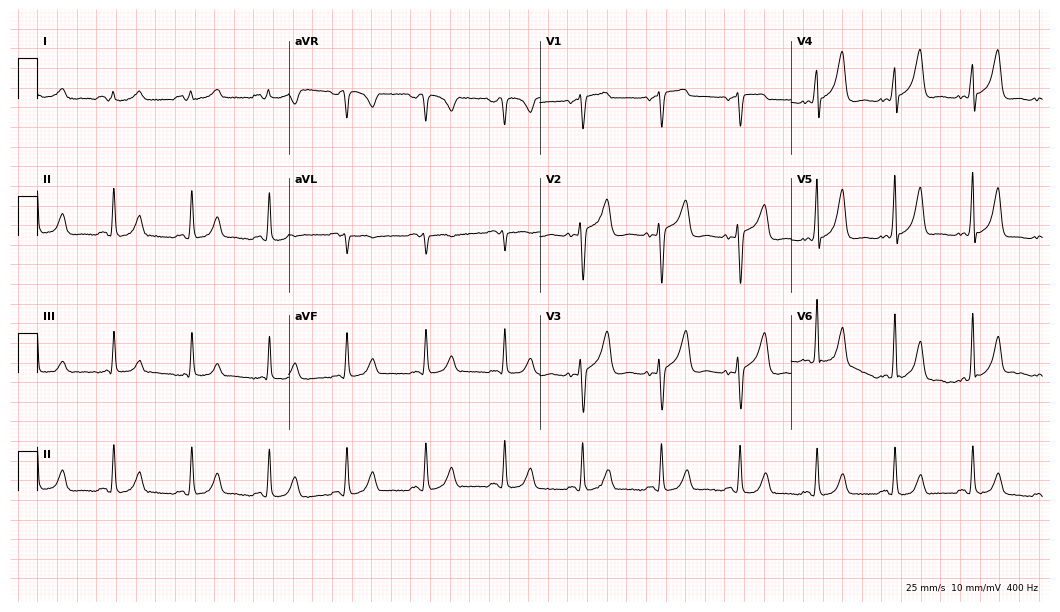
12-lead ECG (10.2-second recording at 400 Hz) from a female patient, 39 years old. Labelled as a normal ECG.